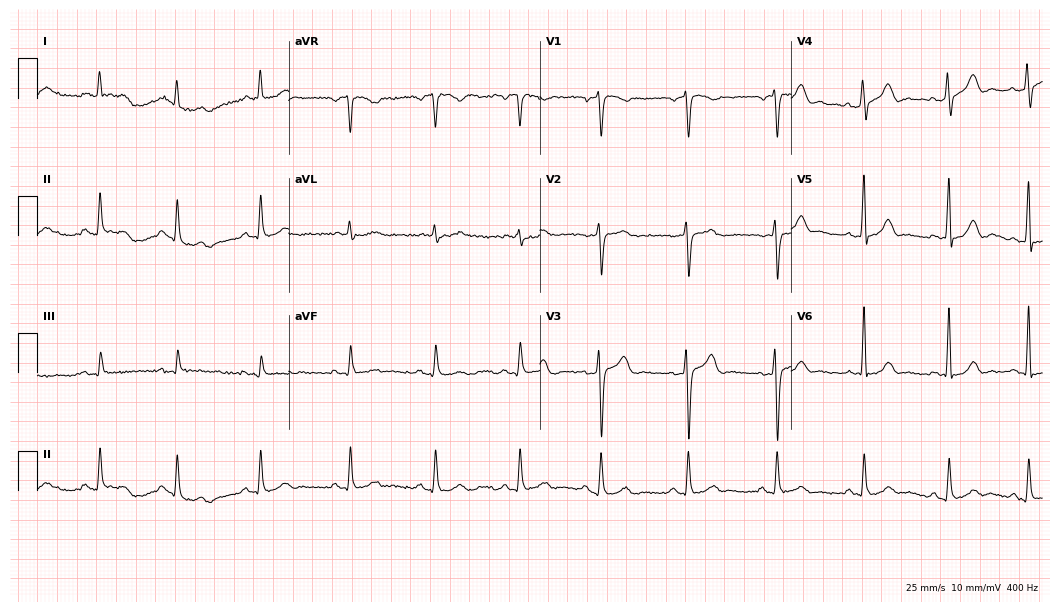
Standard 12-lead ECG recorded from a man, 36 years old. None of these six findings is recorded: first-degree AV block, right bundle branch block (RBBB), left bundle branch block (LBBB), sinus bradycardia, atrial fibrillation (AF), sinus tachycardia. Only these six findings were labelled.